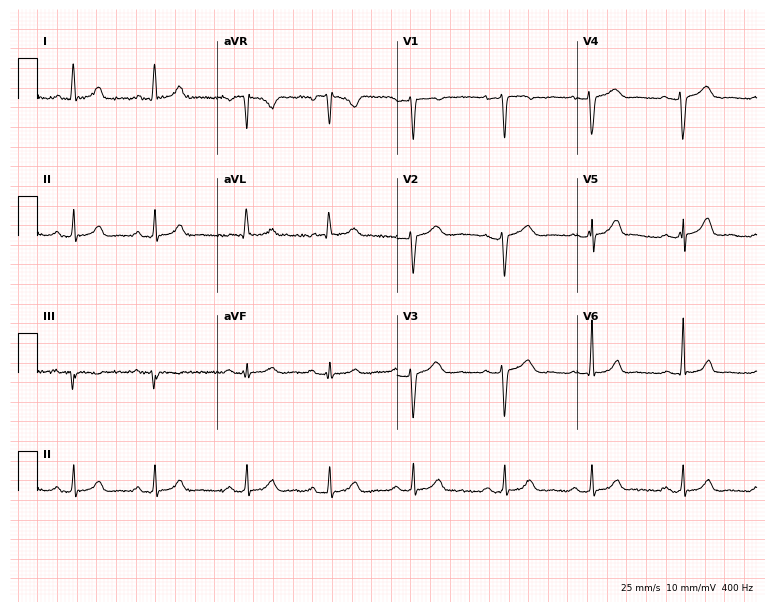
12-lead ECG (7.3-second recording at 400 Hz) from a female, 30 years old. Labelled as a normal ECG.